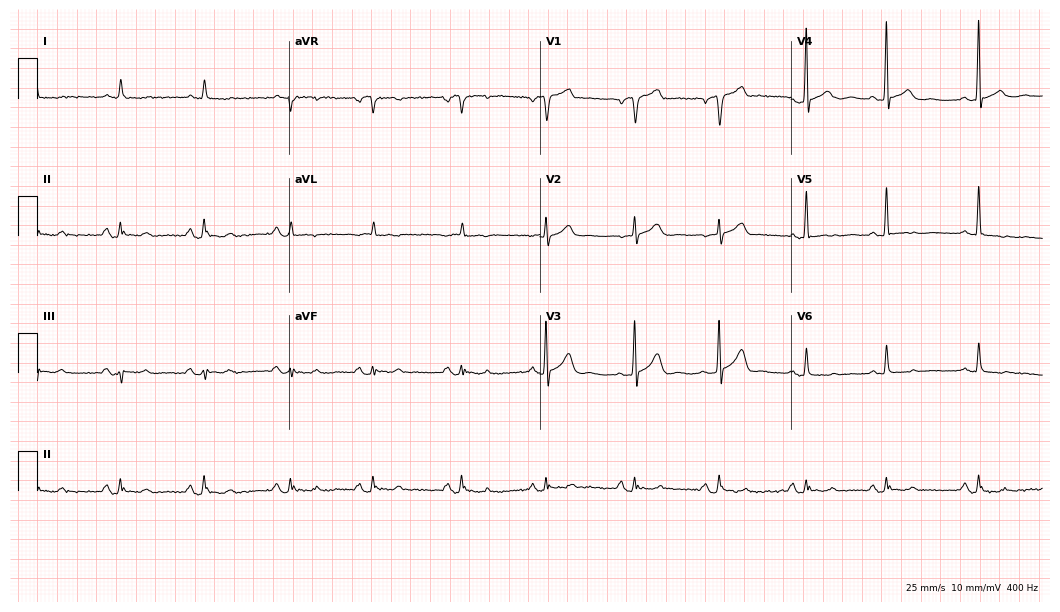
12-lead ECG from a 77-year-old male. No first-degree AV block, right bundle branch block, left bundle branch block, sinus bradycardia, atrial fibrillation or sinus tachycardia recorded for this tracing.